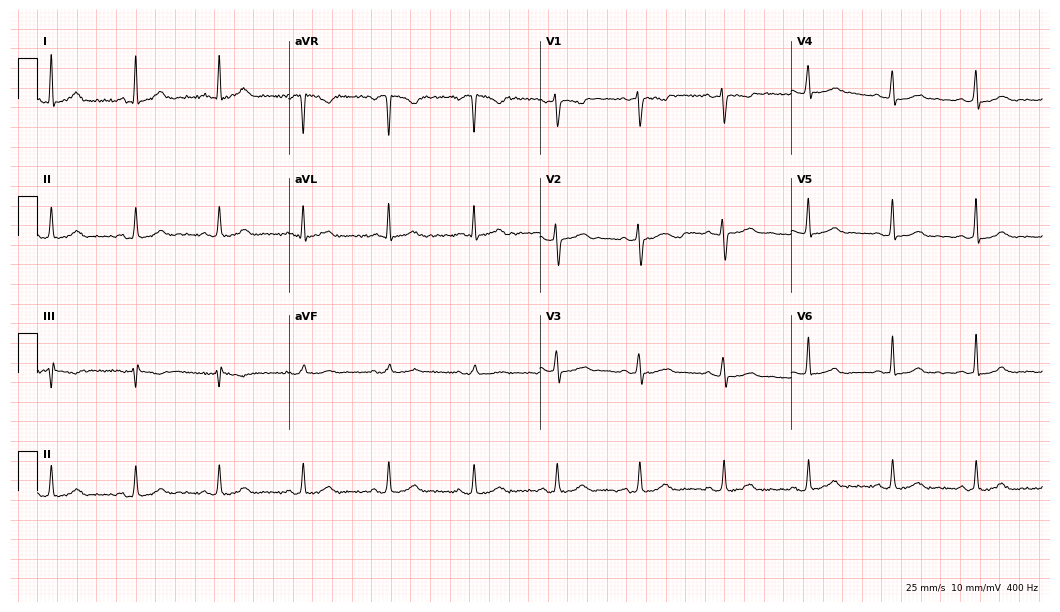
ECG (10.2-second recording at 400 Hz) — a 42-year-old male. Labelled as a normal ECG.